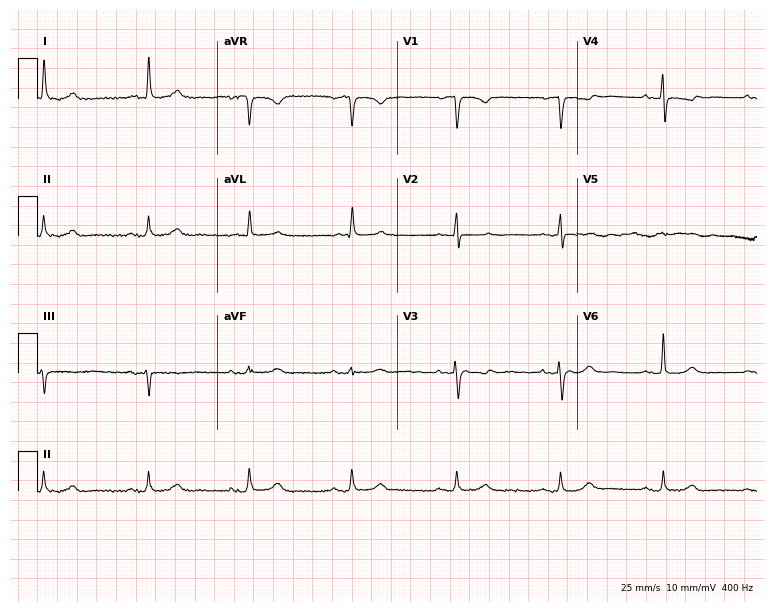
ECG — a female patient, 76 years old. Screened for six findings — first-degree AV block, right bundle branch block, left bundle branch block, sinus bradycardia, atrial fibrillation, sinus tachycardia — none is recorded. Only these six findings were labelled.